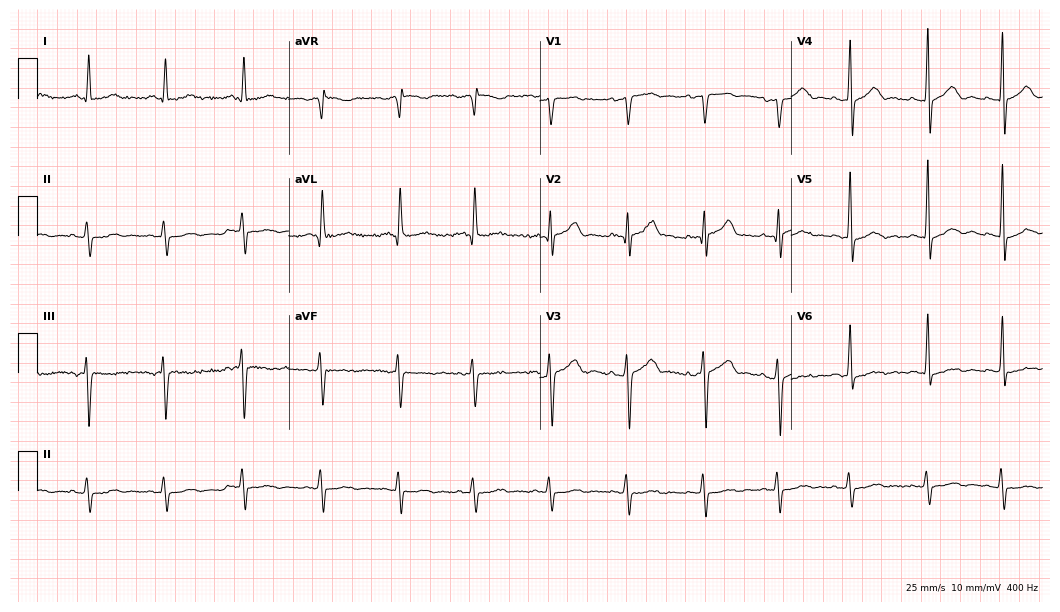
Standard 12-lead ECG recorded from a 73-year-old male patient (10.2-second recording at 400 Hz). Read as a normal ECG.